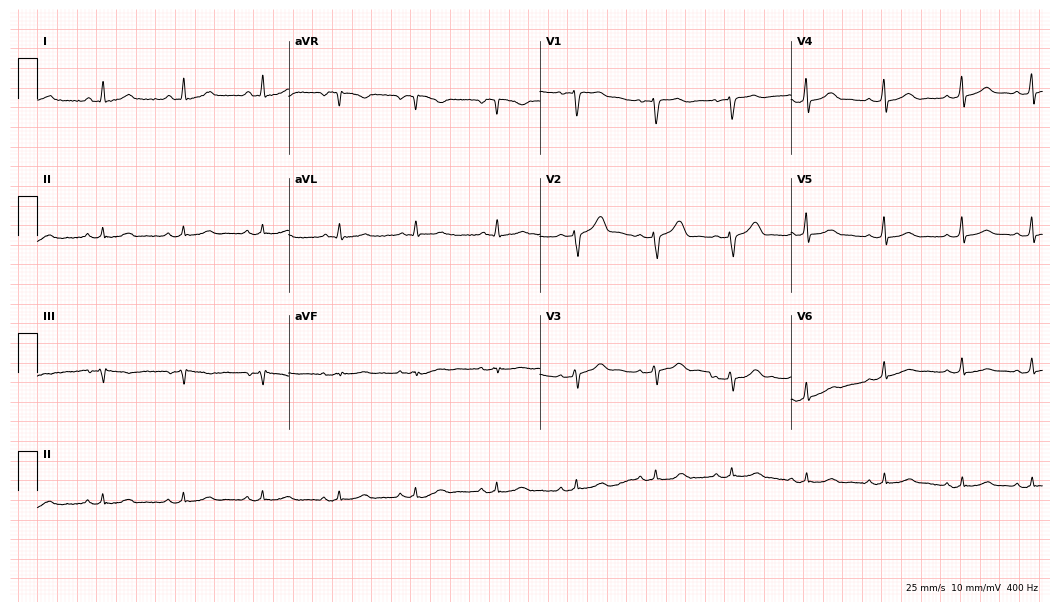
12-lead ECG from a female, 35 years old. Recorded interpretation: within normal limits.